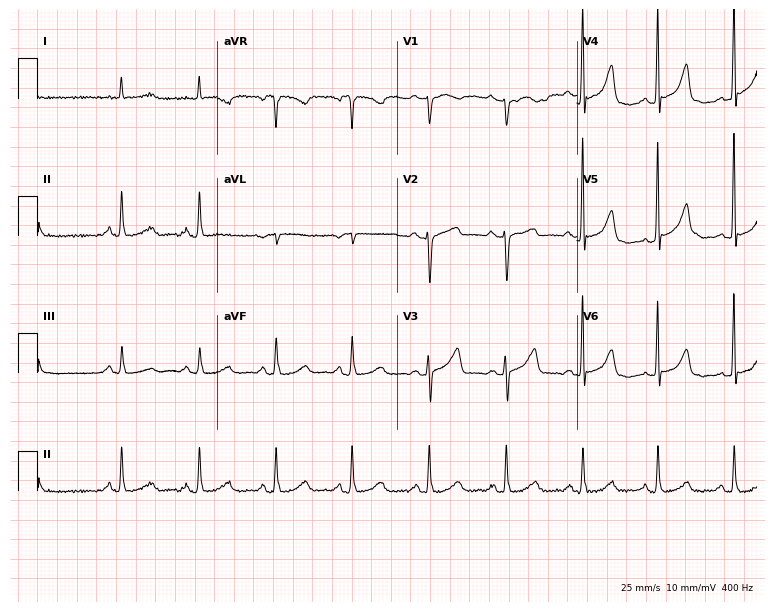
ECG (7.3-second recording at 400 Hz) — a female, 69 years old. Screened for six findings — first-degree AV block, right bundle branch block, left bundle branch block, sinus bradycardia, atrial fibrillation, sinus tachycardia — none is recorded.